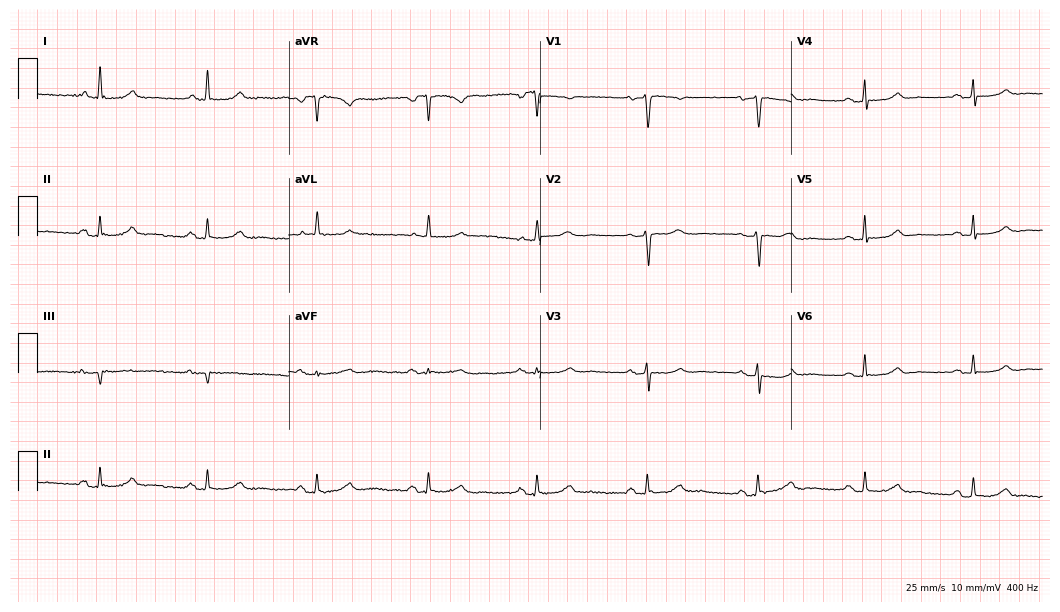
Electrocardiogram (10.2-second recording at 400 Hz), a 58-year-old female. Overall reading on record: normal ECG.